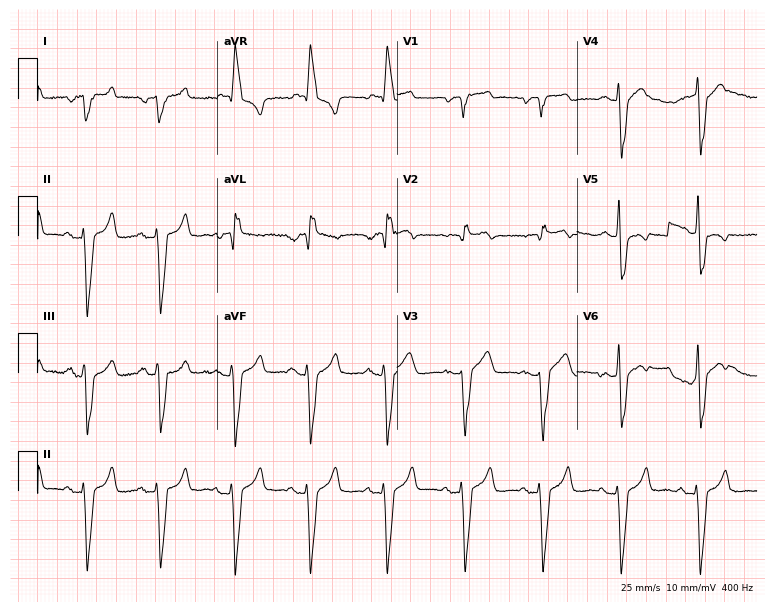
Standard 12-lead ECG recorded from a male, 75 years old. None of these six findings is recorded: first-degree AV block, right bundle branch block, left bundle branch block, sinus bradycardia, atrial fibrillation, sinus tachycardia. Other findings, if any, are not listed.